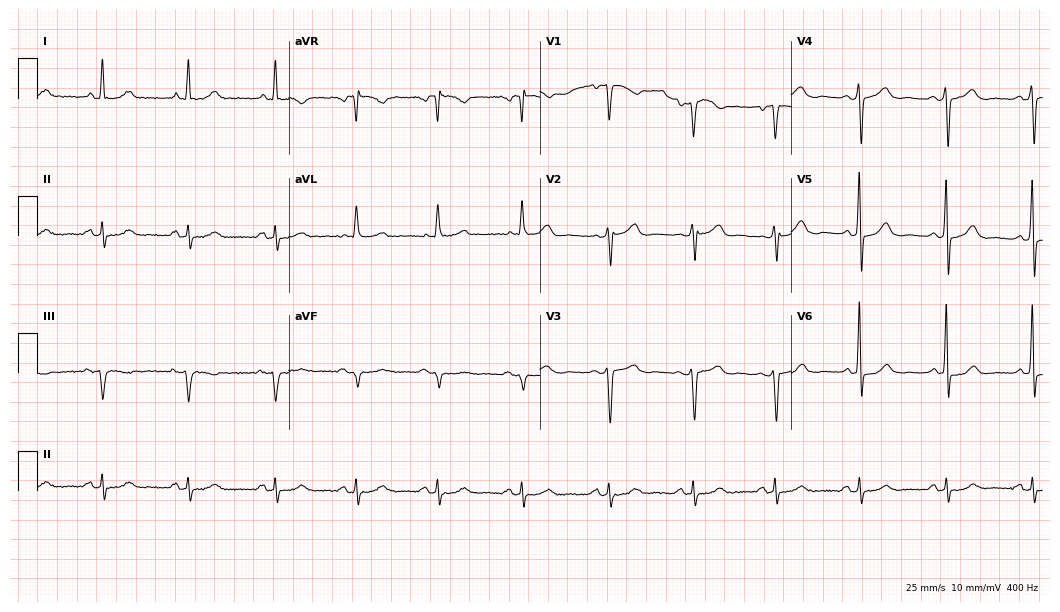
Resting 12-lead electrocardiogram (10.2-second recording at 400 Hz). Patient: a 70-year-old woman. Read as a normal ECG.